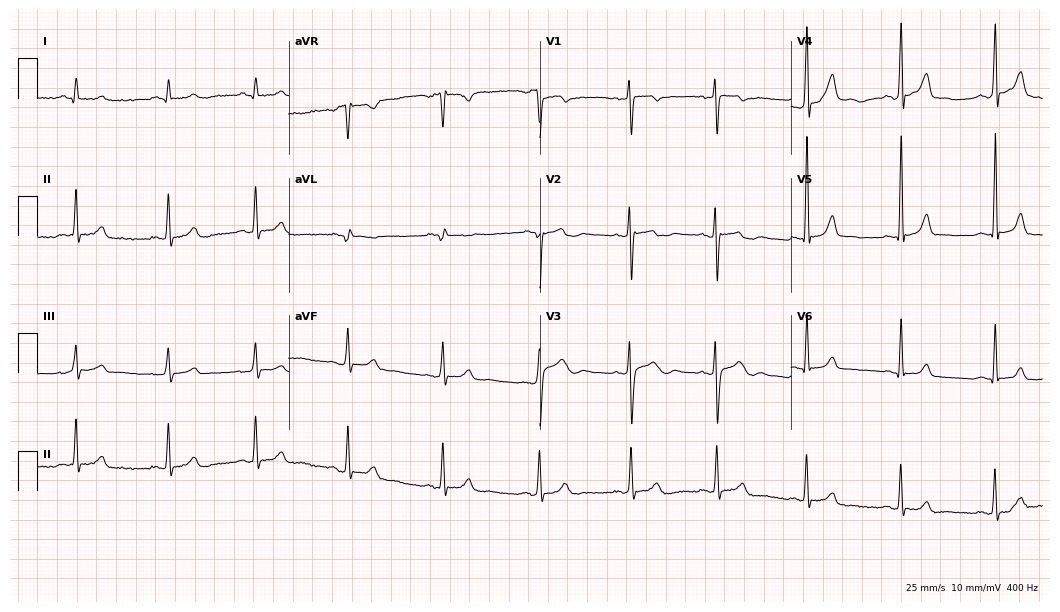
ECG (10.2-second recording at 400 Hz) — a male, 21 years old. Labelled as a normal ECG.